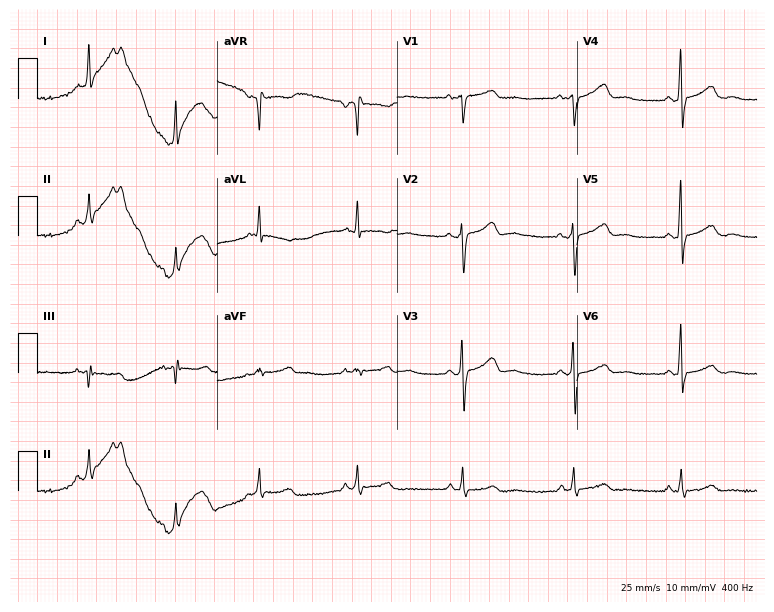
12-lead ECG from a 39-year-old female. No first-degree AV block, right bundle branch block, left bundle branch block, sinus bradycardia, atrial fibrillation or sinus tachycardia recorded for this tracing.